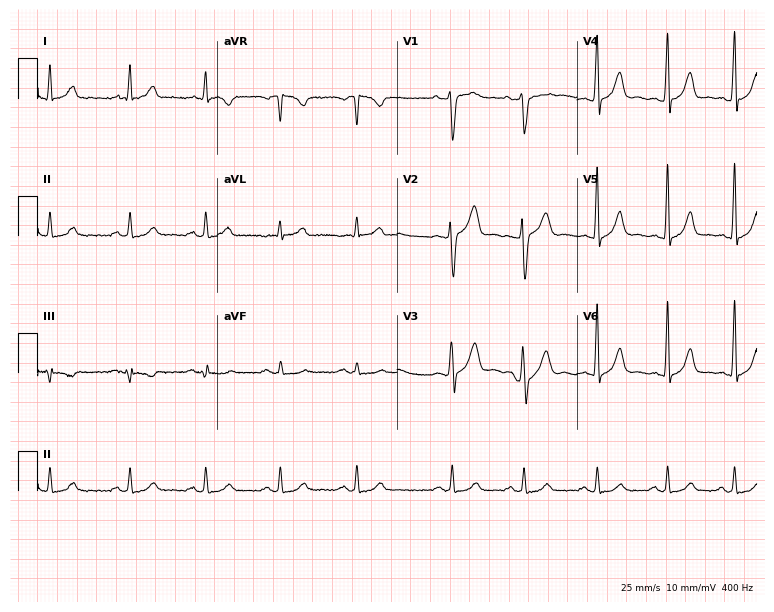
12-lead ECG from a male, 42 years old (7.3-second recording at 400 Hz). No first-degree AV block, right bundle branch block, left bundle branch block, sinus bradycardia, atrial fibrillation or sinus tachycardia recorded for this tracing. Other findings, if any, are not listed.